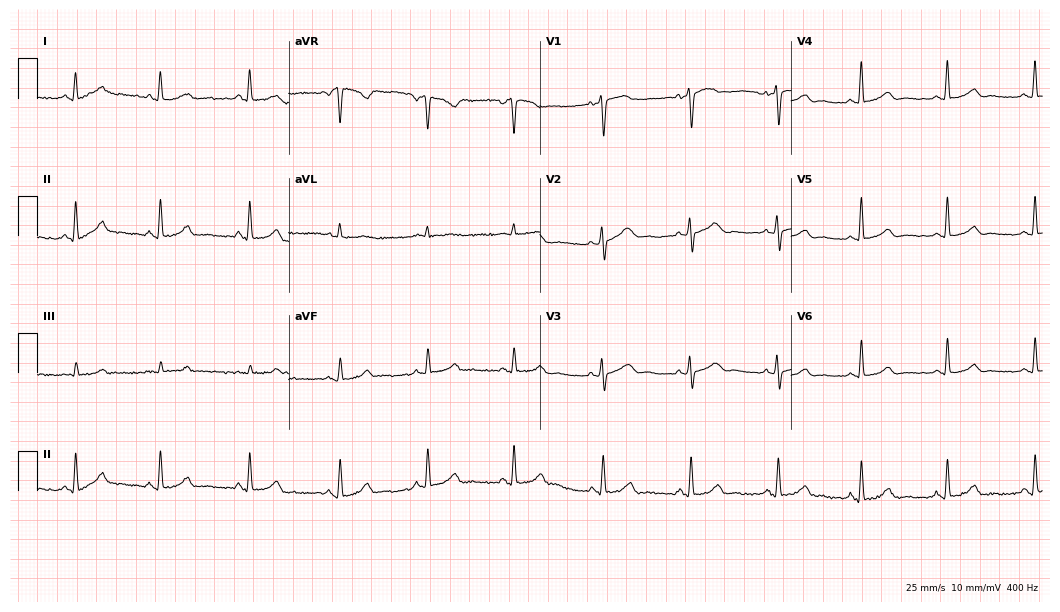
Resting 12-lead electrocardiogram. Patient: a 40-year-old female. Read as a normal ECG.